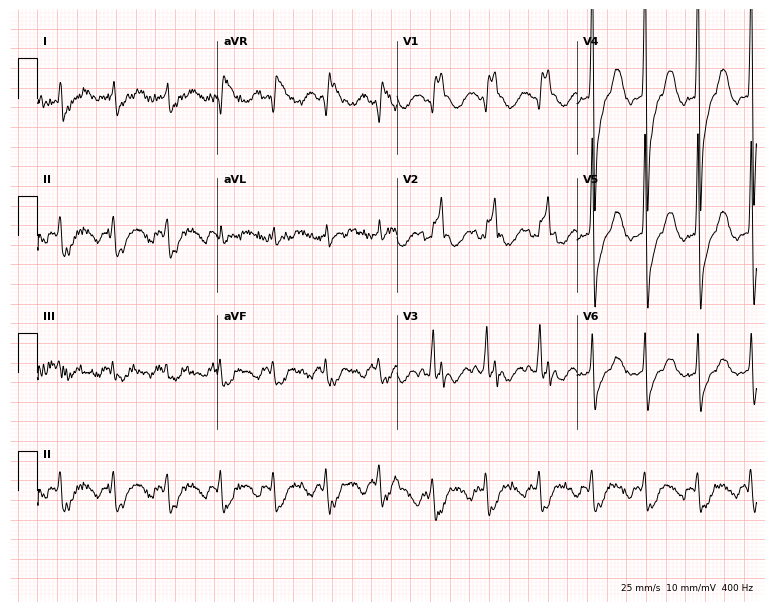
ECG — an 84-year-old man. Screened for six findings — first-degree AV block, right bundle branch block (RBBB), left bundle branch block (LBBB), sinus bradycardia, atrial fibrillation (AF), sinus tachycardia — none is recorded.